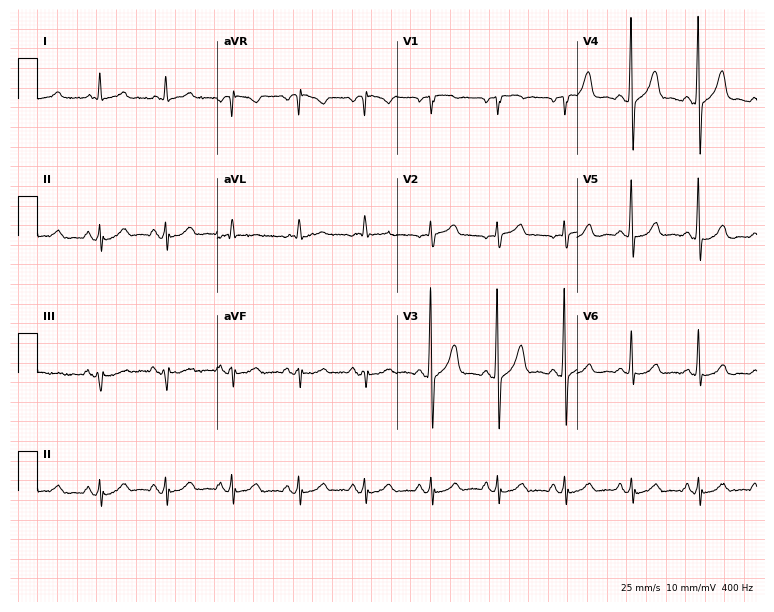
ECG — a man, 57 years old. Labelled as a normal ECG.